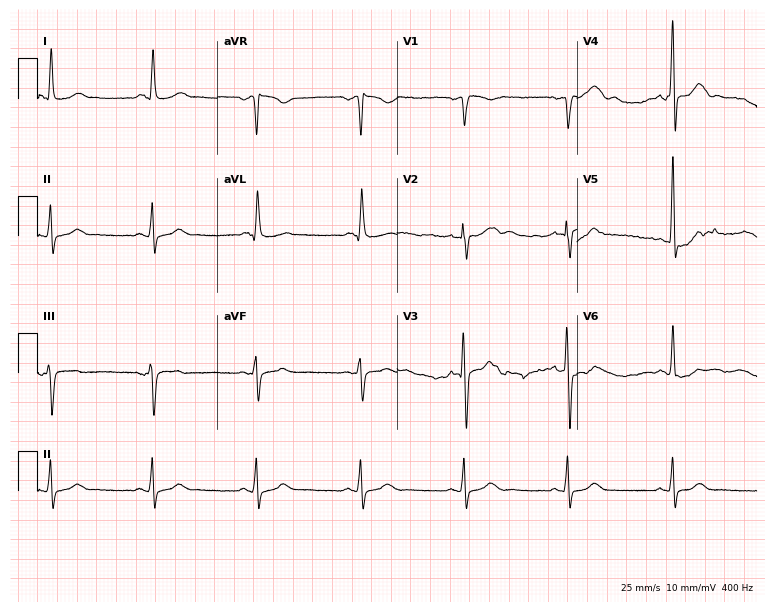
12-lead ECG from a male patient, 62 years old (7.3-second recording at 400 Hz). Recorded interpretation: within normal limits.